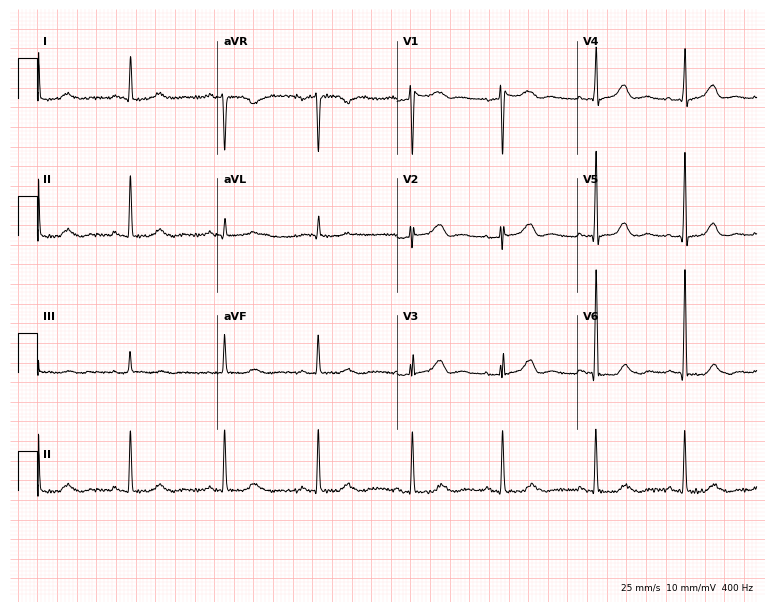
Standard 12-lead ECG recorded from a 76-year-old female. None of these six findings is recorded: first-degree AV block, right bundle branch block (RBBB), left bundle branch block (LBBB), sinus bradycardia, atrial fibrillation (AF), sinus tachycardia. Other findings, if any, are not listed.